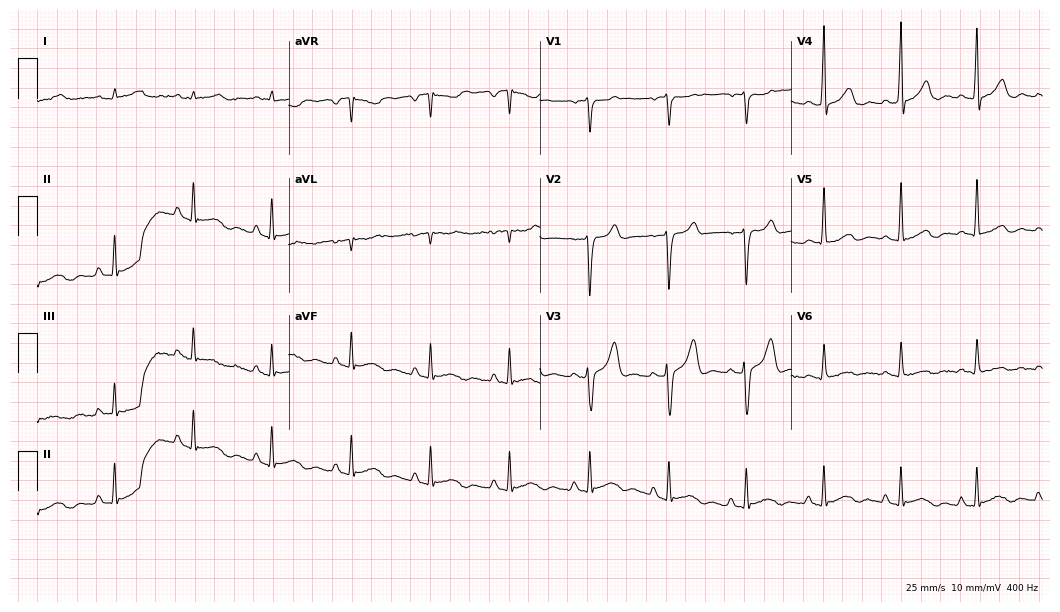
12-lead ECG from a male, 23 years old. Labelled as a normal ECG.